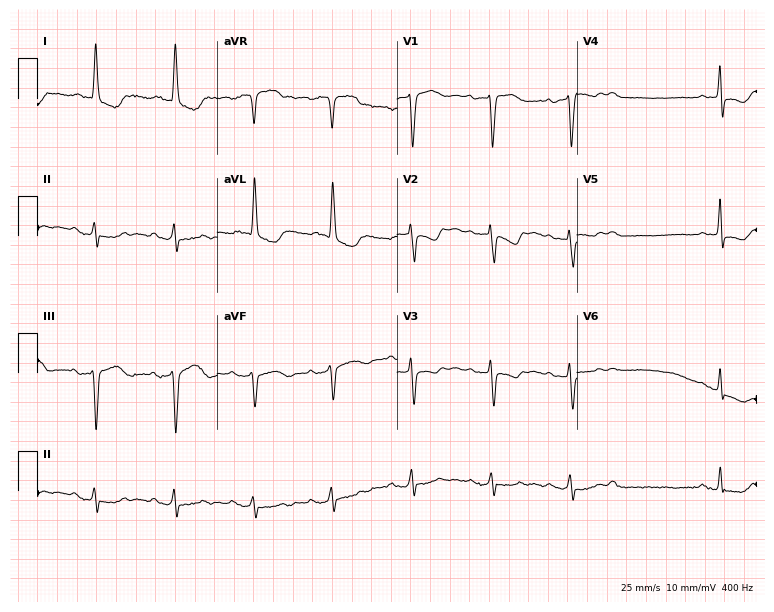
Standard 12-lead ECG recorded from an 84-year-old female. None of these six findings is recorded: first-degree AV block, right bundle branch block, left bundle branch block, sinus bradycardia, atrial fibrillation, sinus tachycardia.